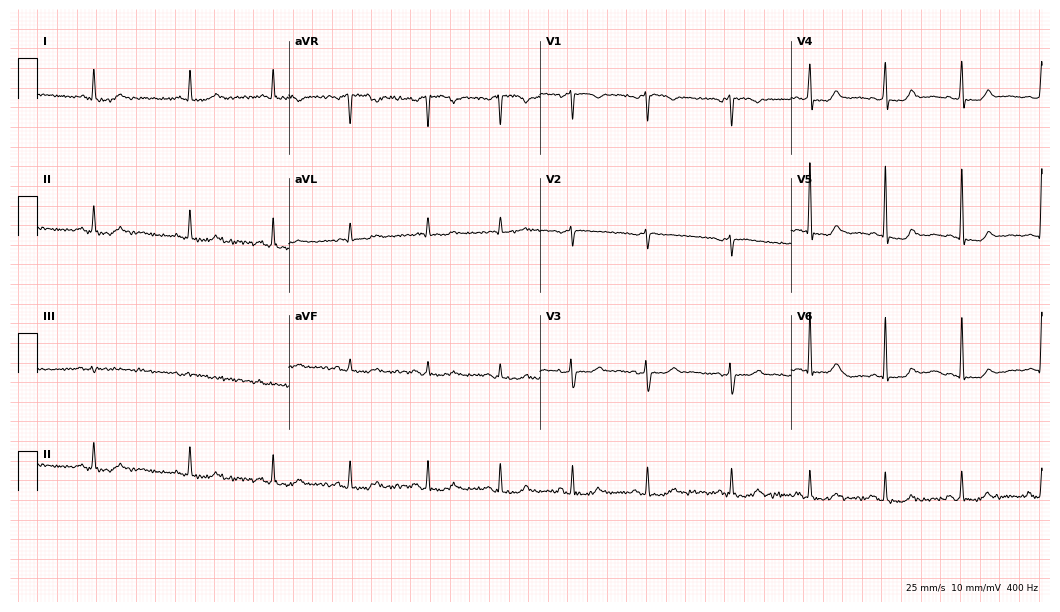
Standard 12-lead ECG recorded from a 60-year-old woman (10.2-second recording at 400 Hz). None of these six findings is recorded: first-degree AV block, right bundle branch block (RBBB), left bundle branch block (LBBB), sinus bradycardia, atrial fibrillation (AF), sinus tachycardia.